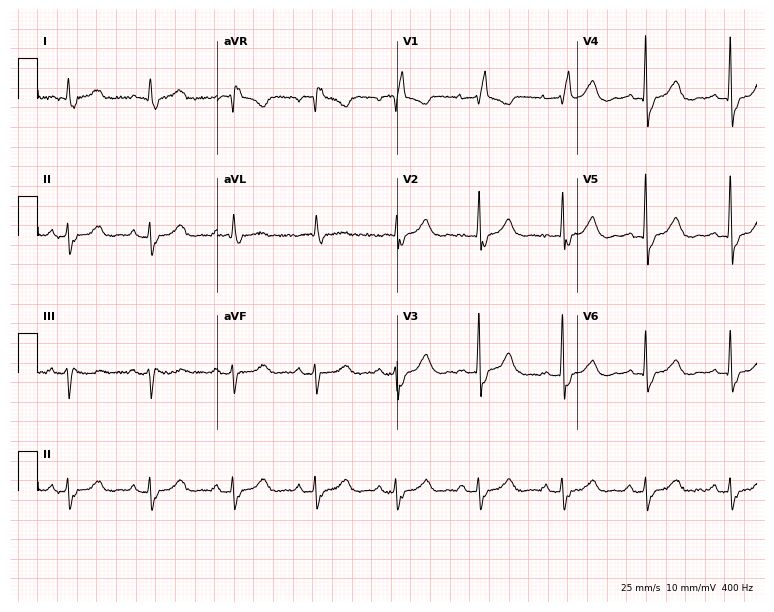
12-lead ECG from an 81-year-old female patient. No first-degree AV block, right bundle branch block (RBBB), left bundle branch block (LBBB), sinus bradycardia, atrial fibrillation (AF) or sinus tachycardia recorded for this tracing. Other findings, if any, are not listed.